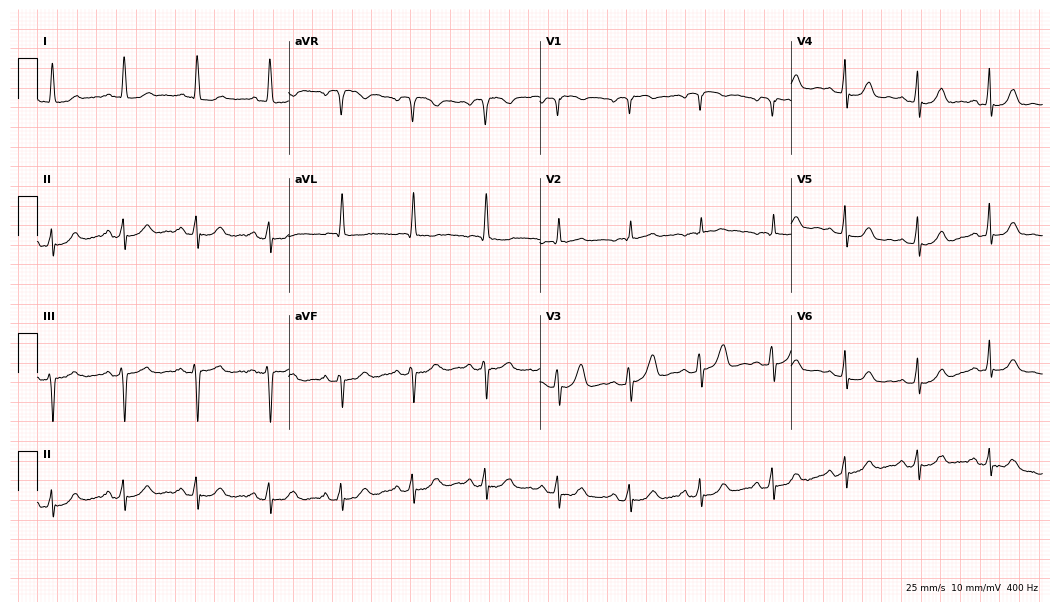
12-lead ECG from a 79-year-old female patient. Labelled as a normal ECG.